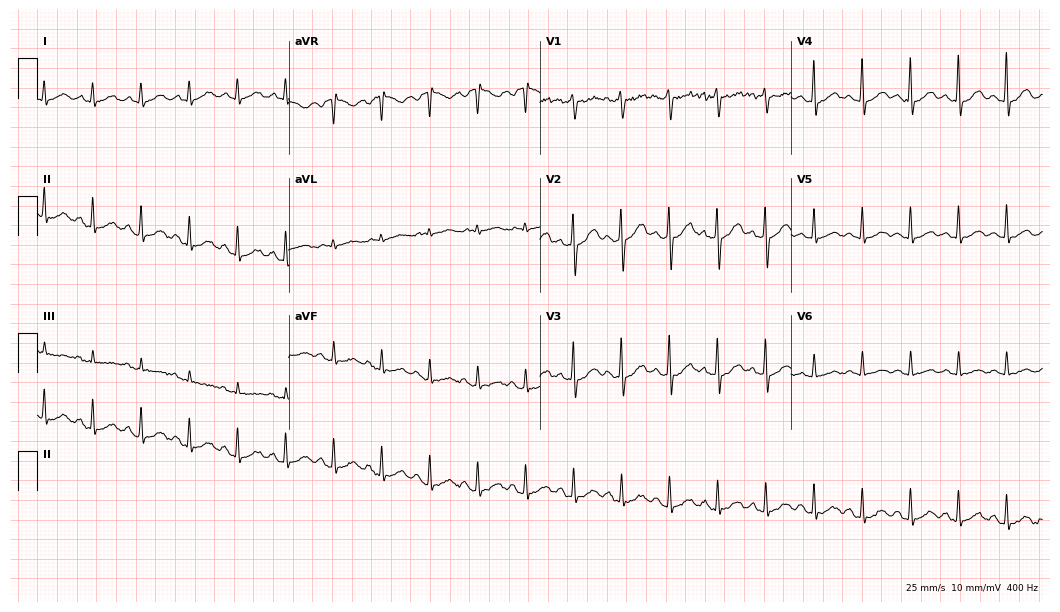
Standard 12-lead ECG recorded from a male patient, 37 years old (10.2-second recording at 400 Hz). The tracing shows sinus tachycardia (a sinus rate of 100 beats per minute or more).